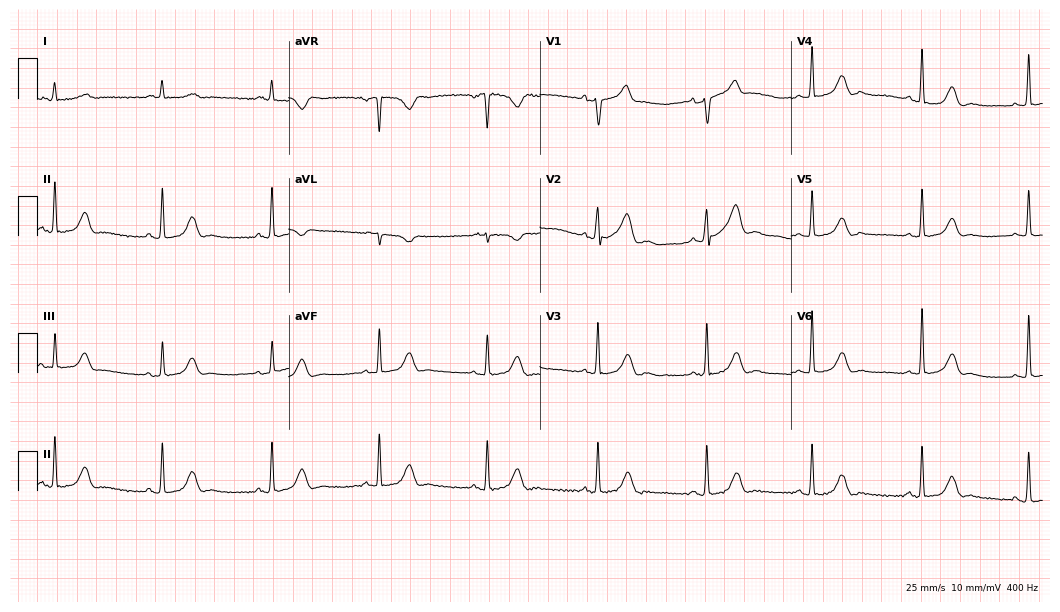
ECG (10.2-second recording at 400 Hz) — a male patient, 81 years old. Labelled as a normal ECG.